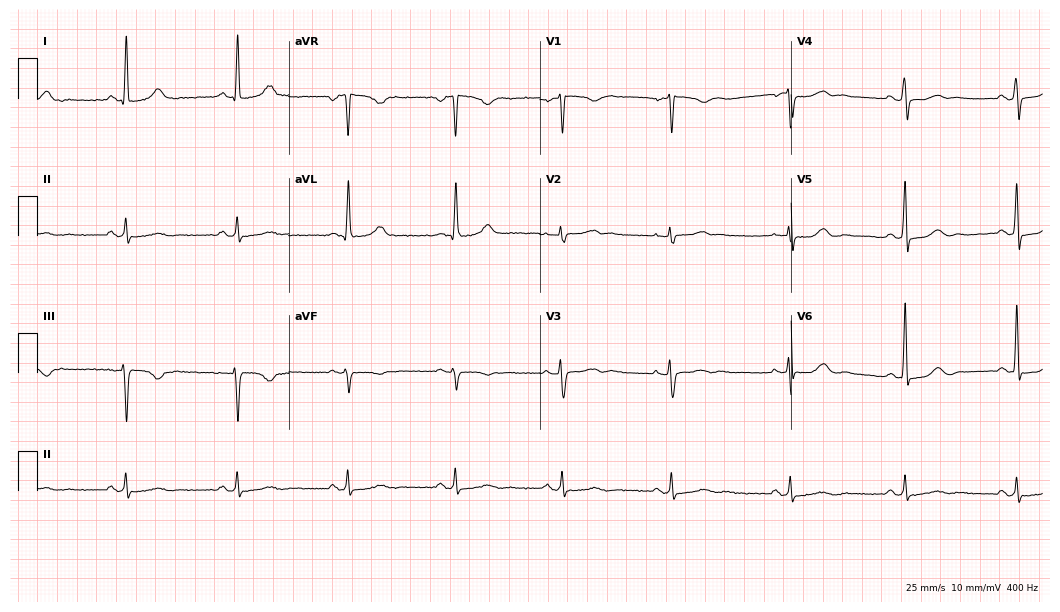
Resting 12-lead electrocardiogram. Patient: a woman, 67 years old. None of these six findings is recorded: first-degree AV block, right bundle branch block, left bundle branch block, sinus bradycardia, atrial fibrillation, sinus tachycardia.